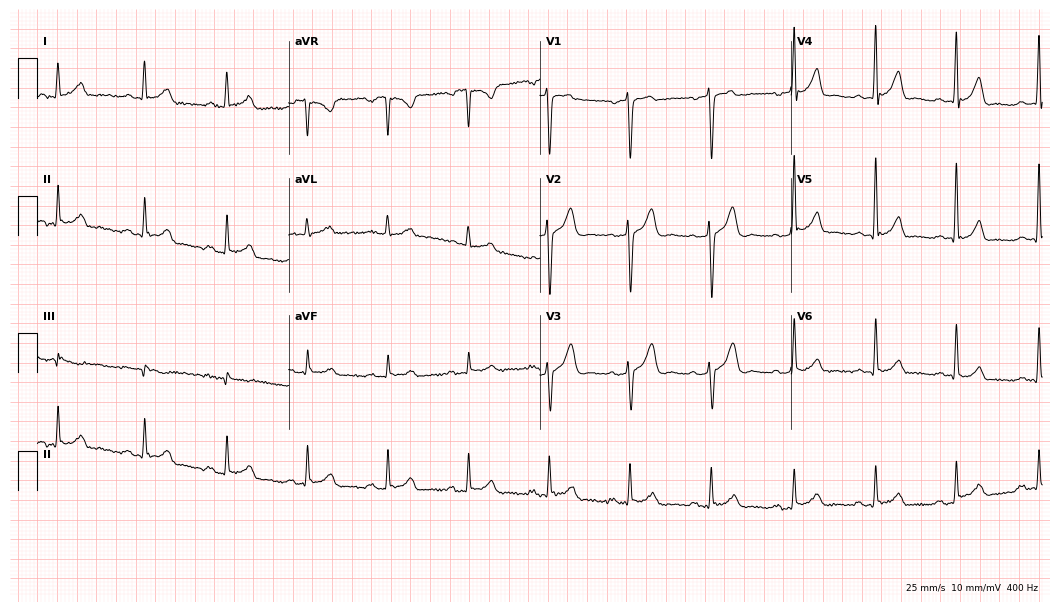
Standard 12-lead ECG recorded from a 49-year-old male. Read as a normal ECG.